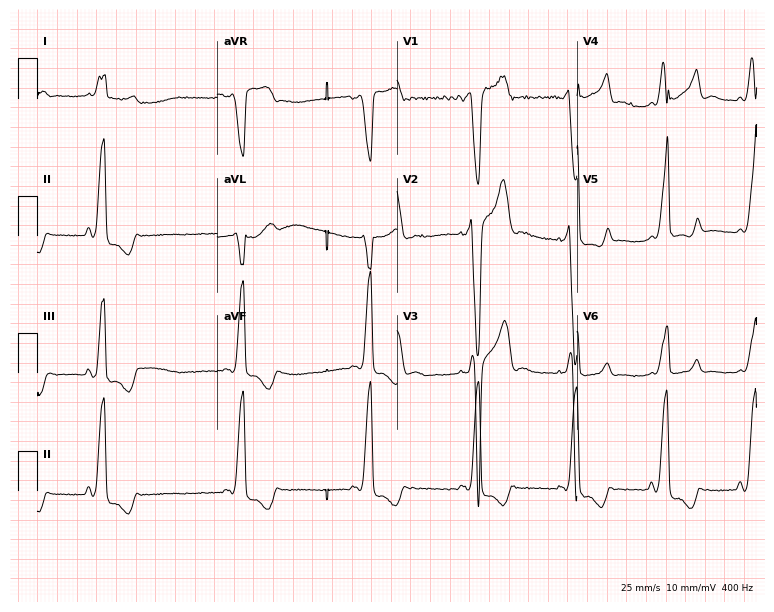
Standard 12-lead ECG recorded from a male patient, 18 years old. The tracing shows left bundle branch block.